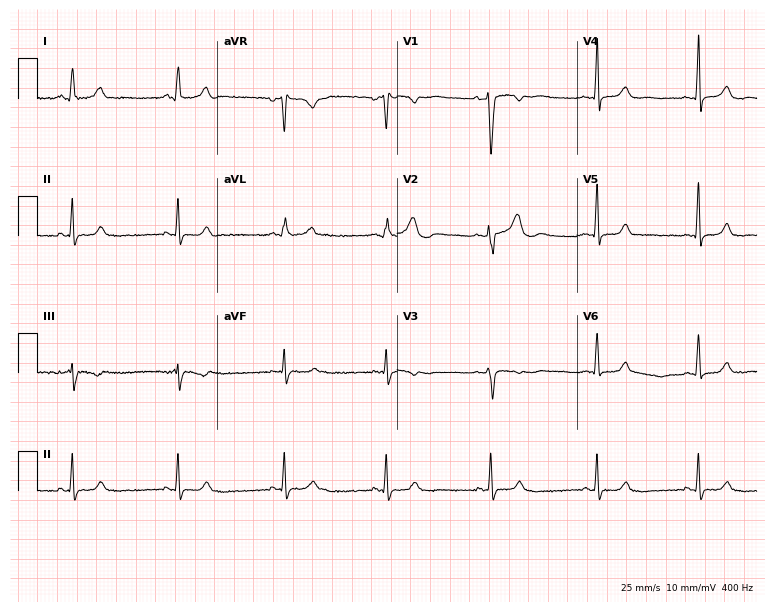
ECG (7.3-second recording at 400 Hz) — a female, 35 years old. Screened for six findings — first-degree AV block, right bundle branch block (RBBB), left bundle branch block (LBBB), sinus bradycardia, atrial fibrillation (AF), sinus tachycardia — none is recorded.